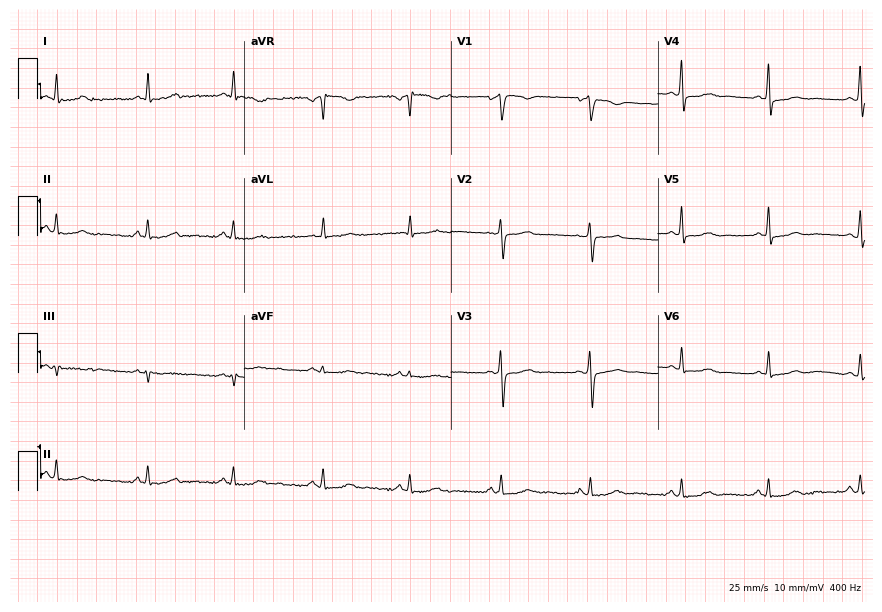
ECG — a female, 45 years old. Screened for six findings — first-degree AV block, right bundle branch block (RBBB), left bundle branch block (LBBB), sinus bradycardia, atrial fibrillation (AF), sinus tachycardia — none is recorded.